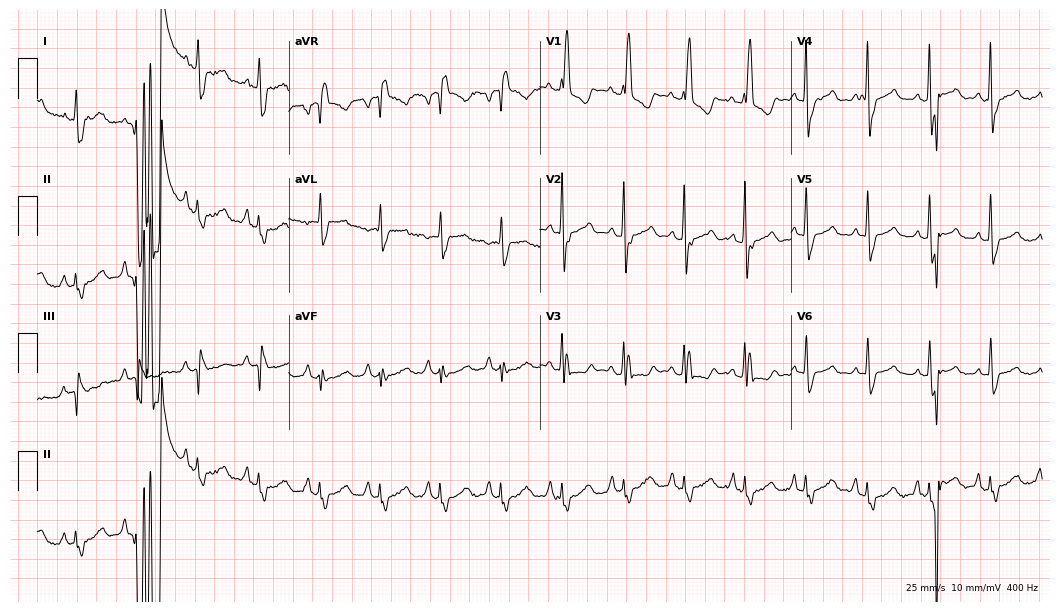
Electrocardiogram (10.2-second recording at 400 Hz), a 76-year-old woman. Of the six screened findings (first-degree AV block, right bundle branch block, left bundle branch block, sinus bradycardia, atrial fibrillation, sinus tachycardia), none is recorded.